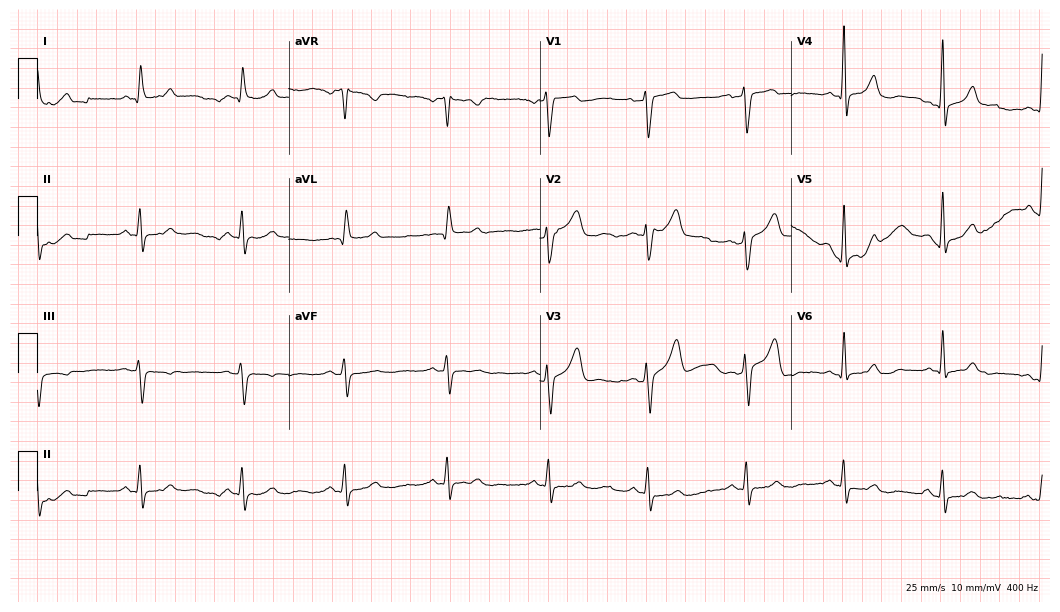
Standard 12-lead ECG recorded from a male, 81 years old (10.2-second recording at 400 Hz). None of these six findings is recorded: first-degree AV block, right bundle branch block, left bundle branch block, sinus bradycardia, atrial fibrillation, sinus tachycardia.